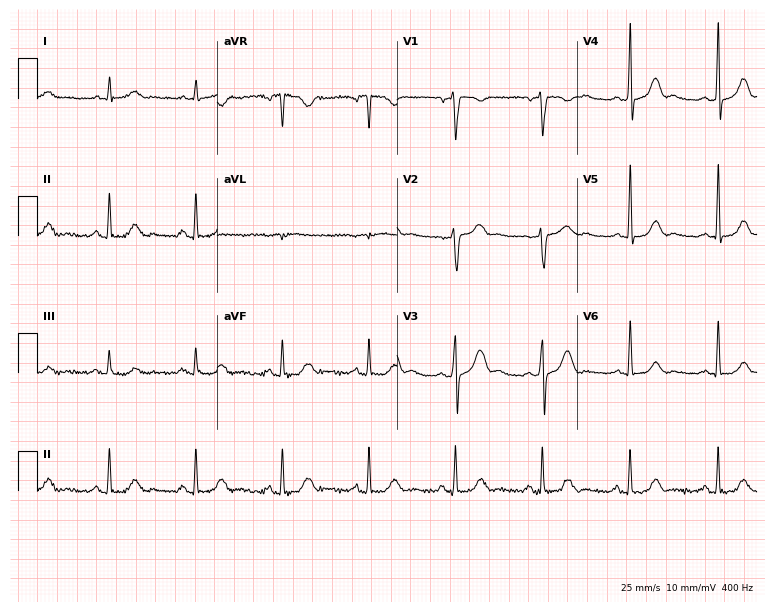
12-lead ECG (7.3-second recording at 400 Hz) from a male patient, 56 years old. Labelled as a normal ECG.